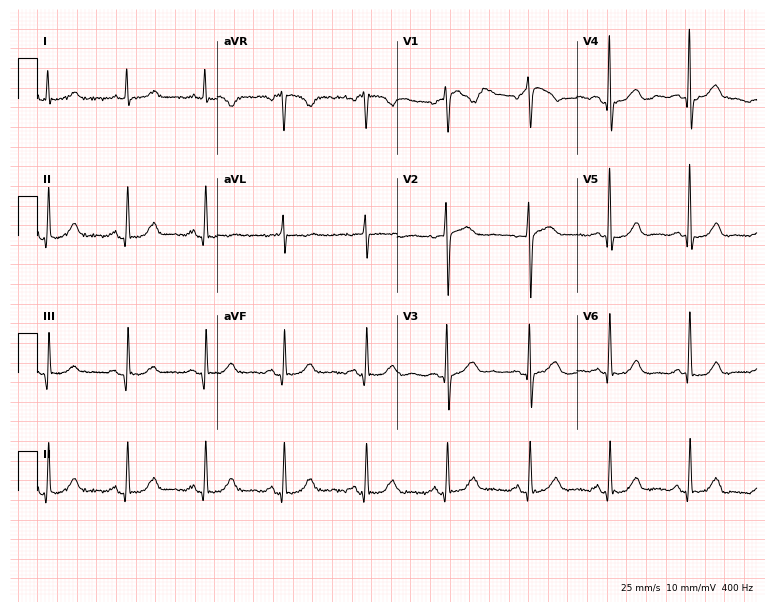
Standard 12-lead ECG recorded from a female patient, 65 years old (7.3-second recording at 400 Hz). Read as a normal ECG.